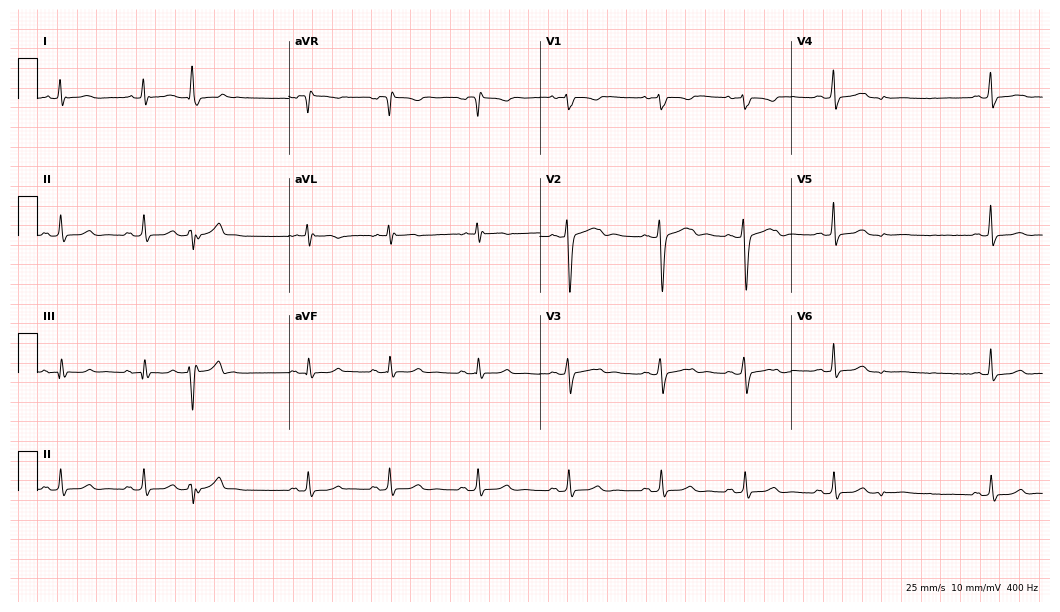
ECG (10.2-second recording at 400 Hz) — a 25-year-old woman. Screened for six findings — first-degree AV block, right bundle branch block, left bundle branch block, sinus bradycardia, atrial fibrillation, sinus tachycardia — none is recorded. Other findings, if any, are not listed.